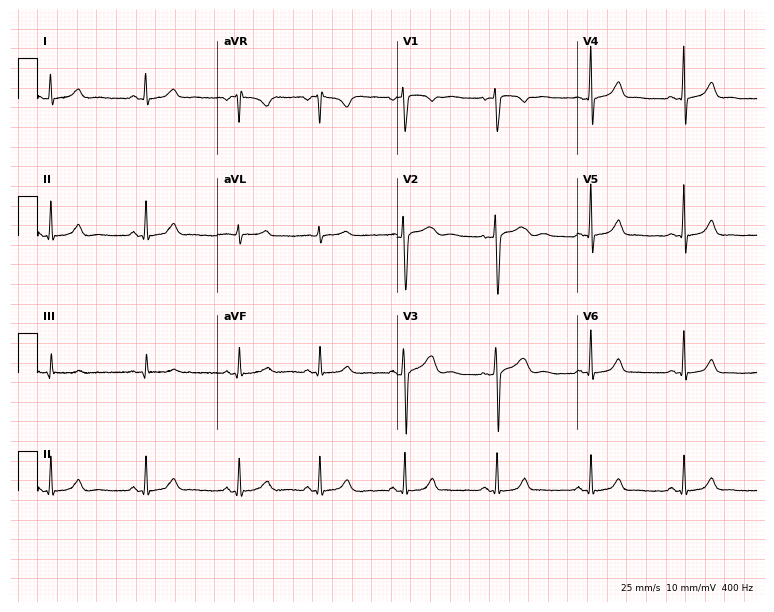
Resting 12-lead electrocardiogram (7.3-second recording at 400 Hz). Patient: a 26-year-old female. Read as a normal ECG.